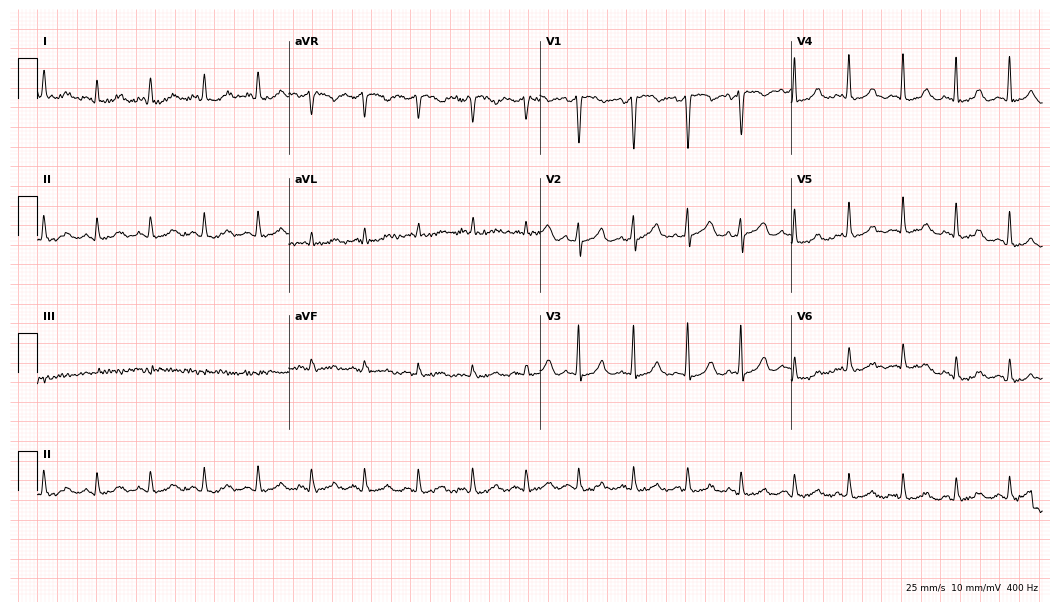
Resting 12-lead electrocardiogram. Patient: a female, 73 years old. The tracing shows sinus tachycardia (a sinus rate of 100 beats per minute or more).